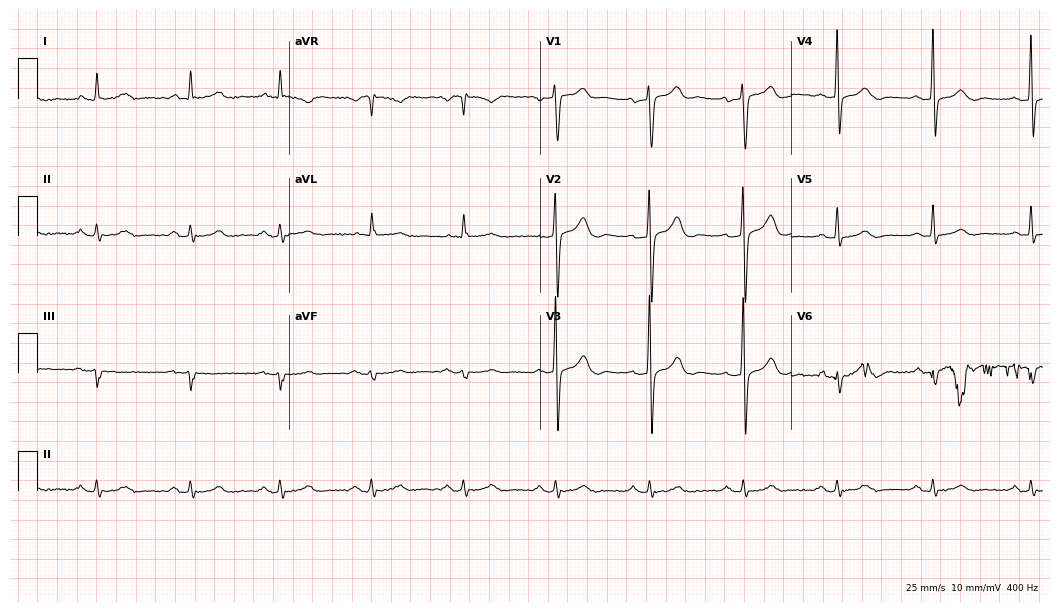
Resting 12-lead electrocardiogram. Patient: a man, 76 years old. None of these six findings is recorded: first-degree AV block, right bundle branch block, left bundle branch block, sinus bradycardia, atrial fibrillation, sinus tachycardia. Other findings, if any, are not listed.